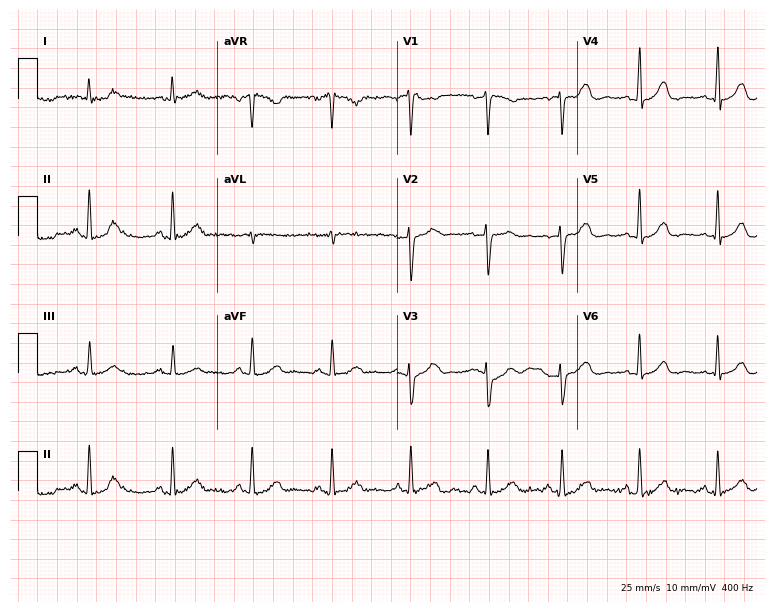
12-lead ECG from a female, 42 years old (7.3-second recording at 400 Hz). Recorded interpretation: within normal limits.